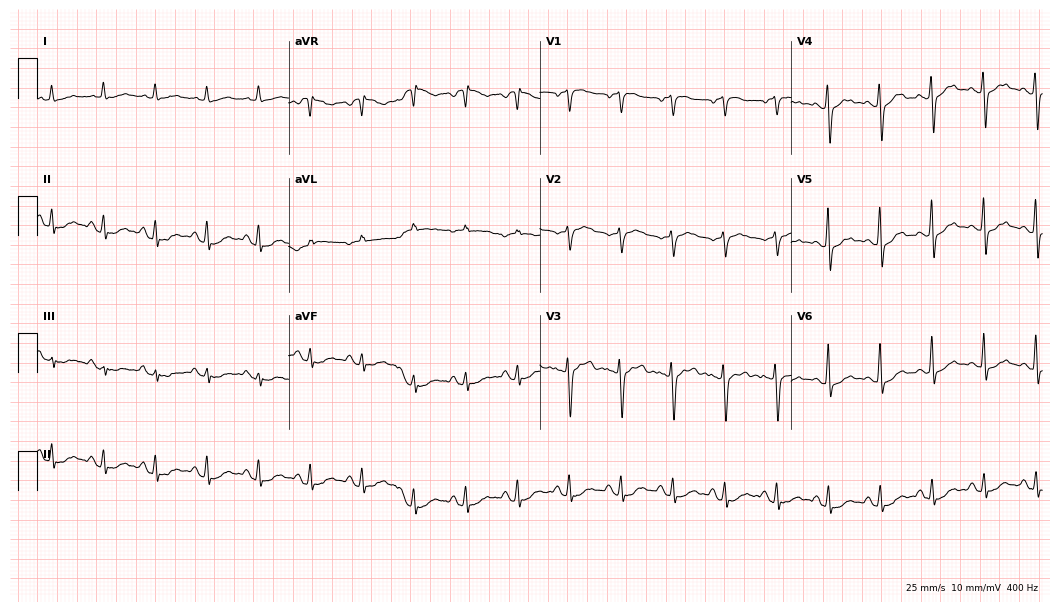
Electrocardiogram (10.2-second recording at 400 Hz), a woman, 71 years old. Of the six screened findings (first-degree AV block, right bundle branch block, left bundle branch block, sinus bradycardia, atrial fibrillation, sinus tachycardia), none is recorded. Findings outside these six are not listed.